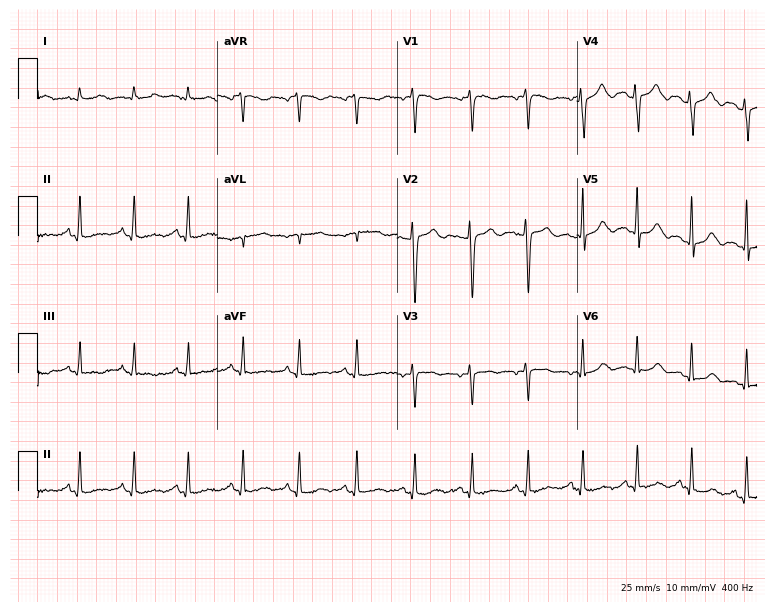
Resting 12-lead electrocardiogram (7.3-second recording at 400 Hz). Patient: a female, 44 years old. The tracing shows sinus tachycardia (a sinus rate of 100 beats per minute or more).